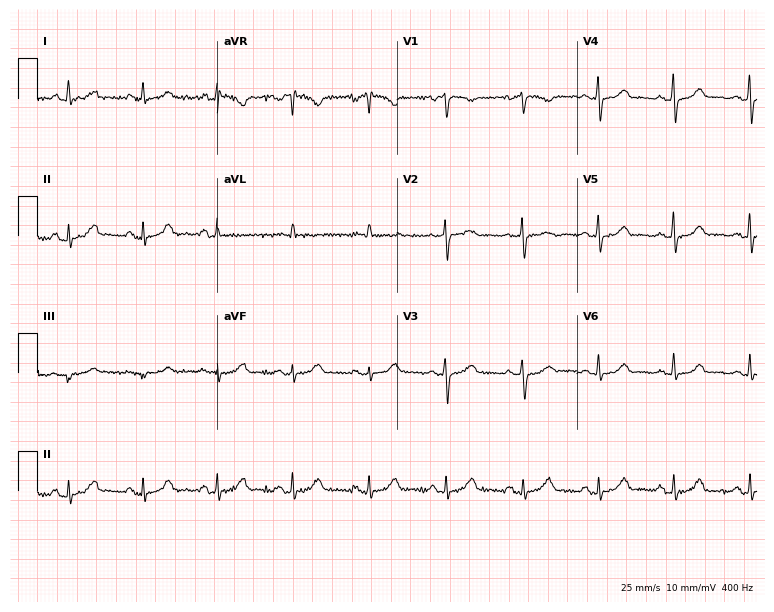
Standard 12-lead ECG recorded from a female patient, 60 years old (7.3-second recording at 400 Hz). Read as a normal ECG.